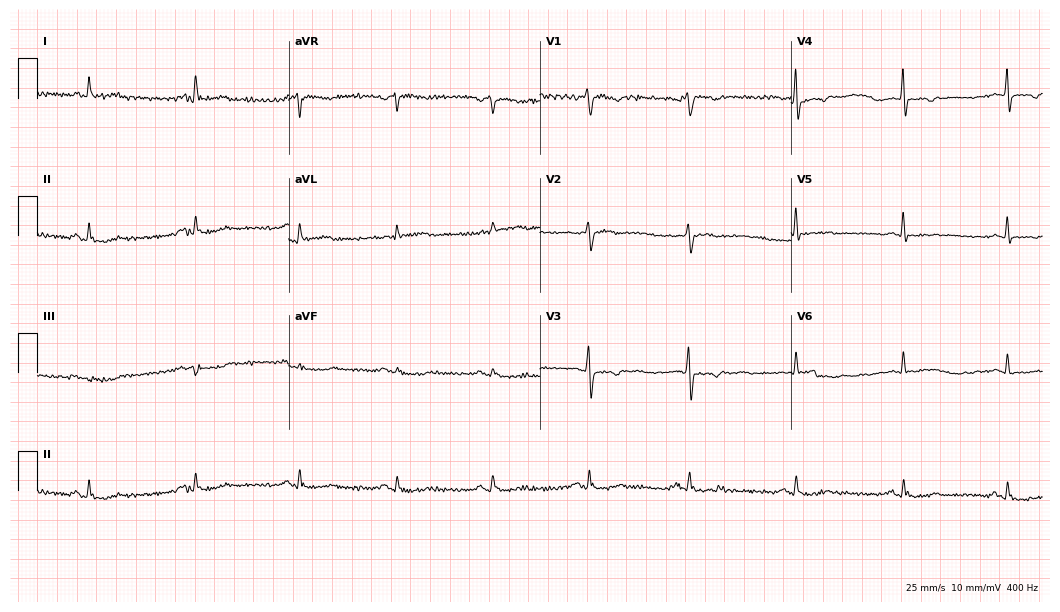
Electrocardiogram (10.2-second recording at 400 Hz), a male patient, 63 years old. Of the six screened findings (first-degree AV block, right bundle branch block, left bundle branch block, sinus bradycardia, atrial fibrillation, sinus tachycardia), none is recorded. Other findings, if any, are not listed.